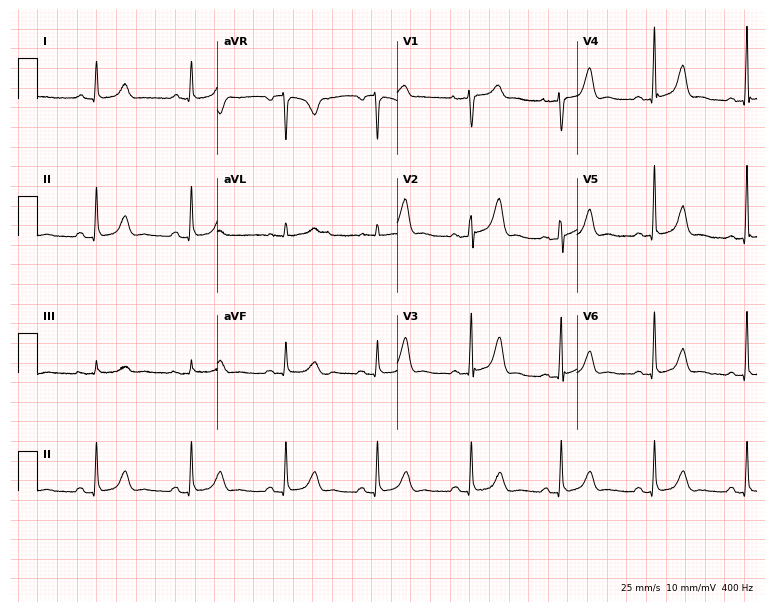
12-lead ECG from a woman, 59 years old. Labelled as a normal ECG.